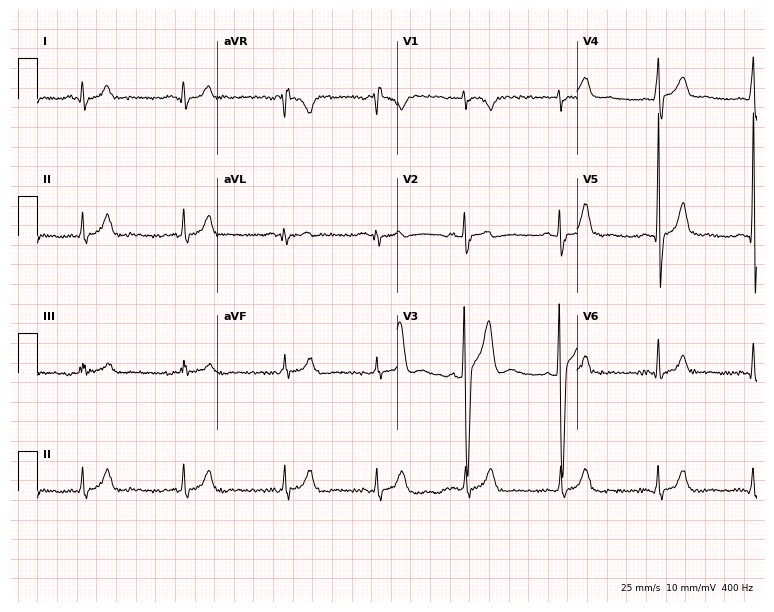
Resting 12-lead electrocardiogram. Patient: a 20-year-old man. None of these six findings is recorded: first-degree AV block, right bundle branch block, left bundle branch block, sinus bradycardia, atrial fibrillation, sinus tachycardia. Findings outside these six are not listed.